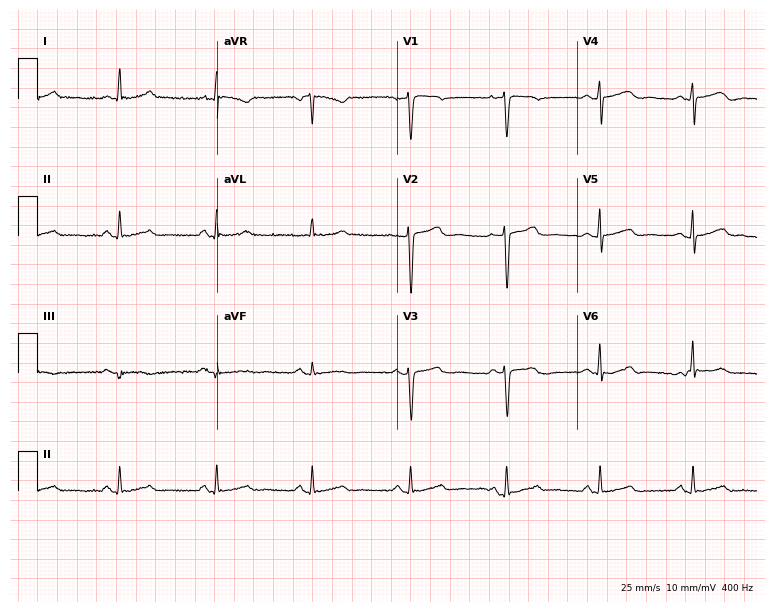
12-lead ECG (7.3-second recording at 400 Hz) from a female, 43 years old. Labelled as a normal ECG.